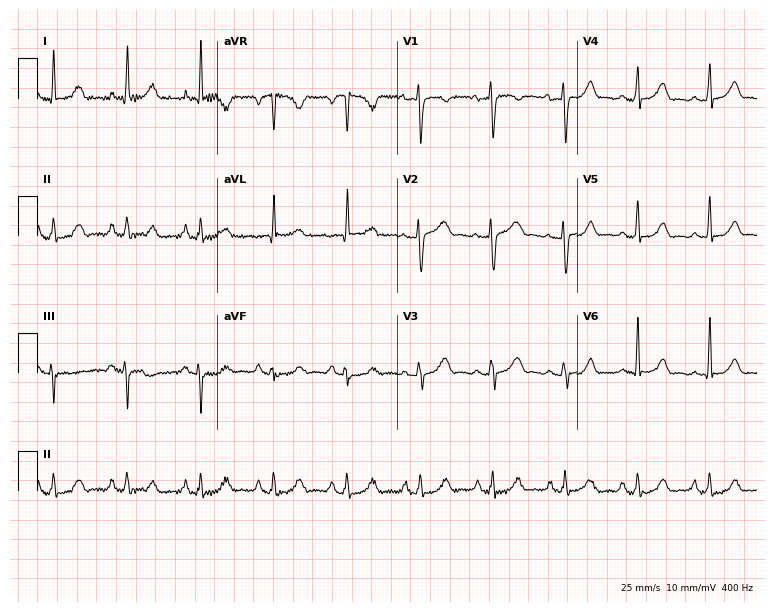
Standard 12-lead ECG recorded from a woman, 52 years old. None of these six findings is recorded: first-degree AV block, right bundle branch block, left bundle branch block, sinus bradycardia, atrial fibrillation, sinus tachycardia. Findings outside these six are not listed.